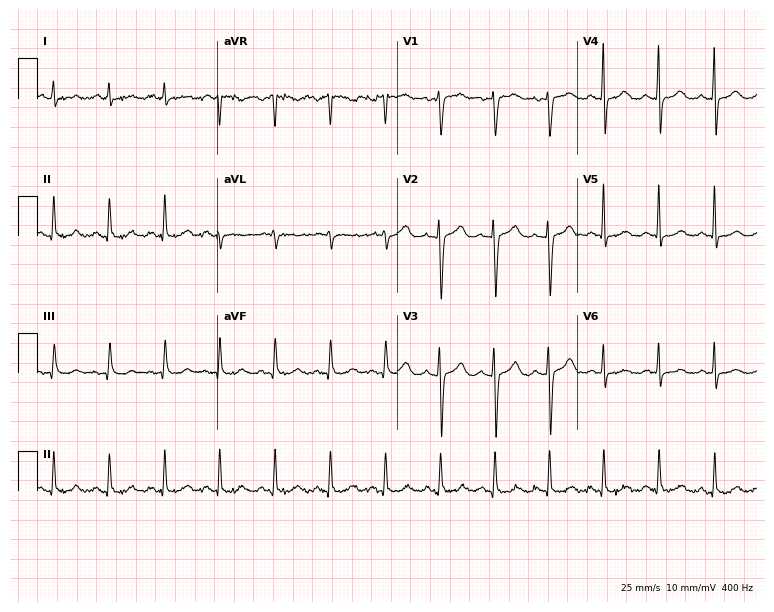
12-lead ECG from a 59-year-old female patient. Shows sinus tachycardia (a sinus rate of 100 beats per minute or more).